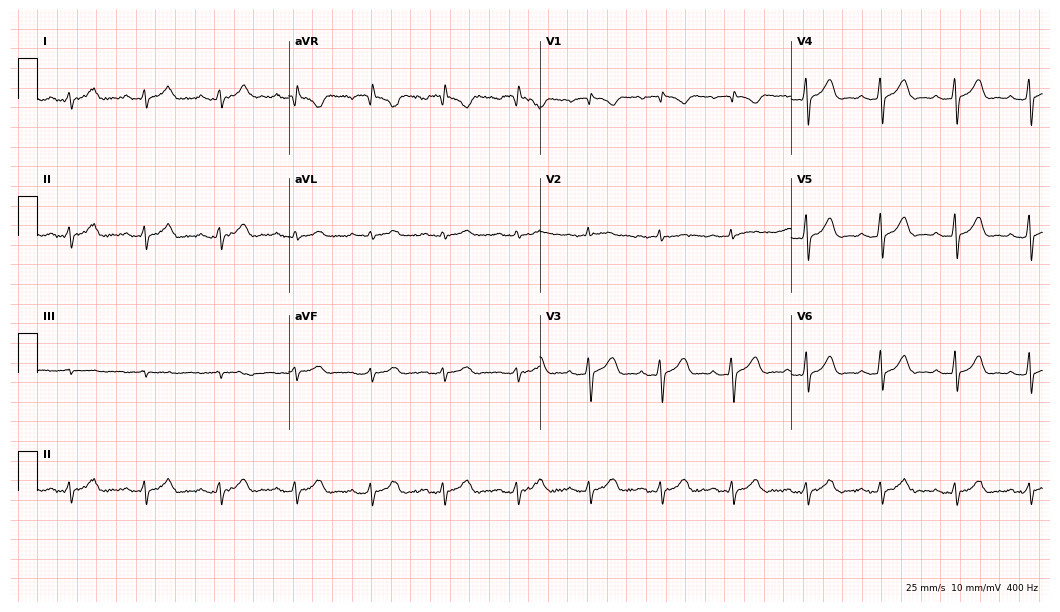
Standard 12-lead ECG recorded from a 40-year-old female patient. Read as a normal ECG.